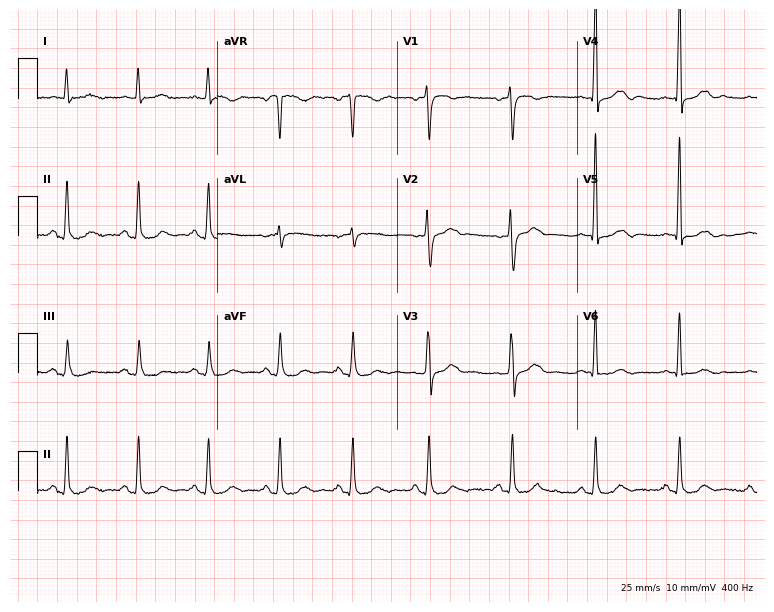
12-lead ECG (7.3-second recording at 400 Hz) from a 51-year-old male patient. Labelled as a normal ECG.